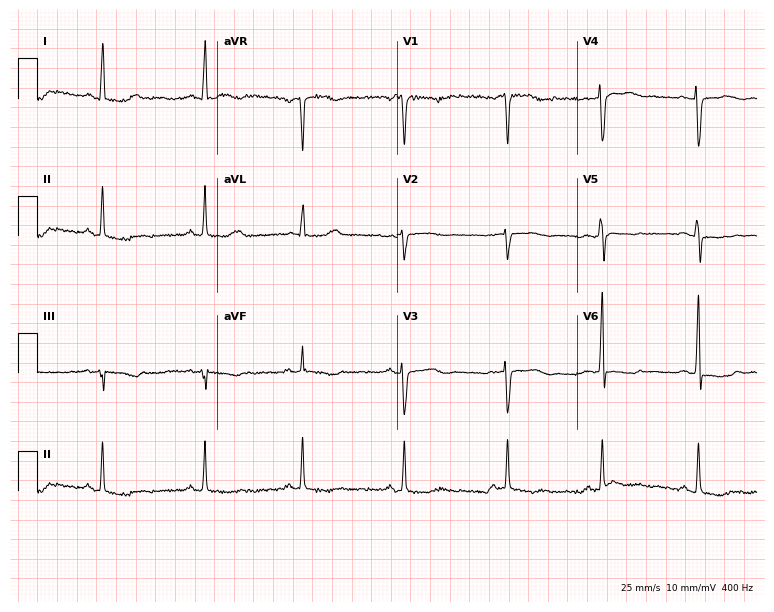
ECG — a 44-year-old woman. Screened for six findings — first-degree AV block, right bundle branch block, left bundle branch block, sinus bradycardia, atrial fibrillation, sinus tachycardia — none is recorded. Only these six findings were labelled.